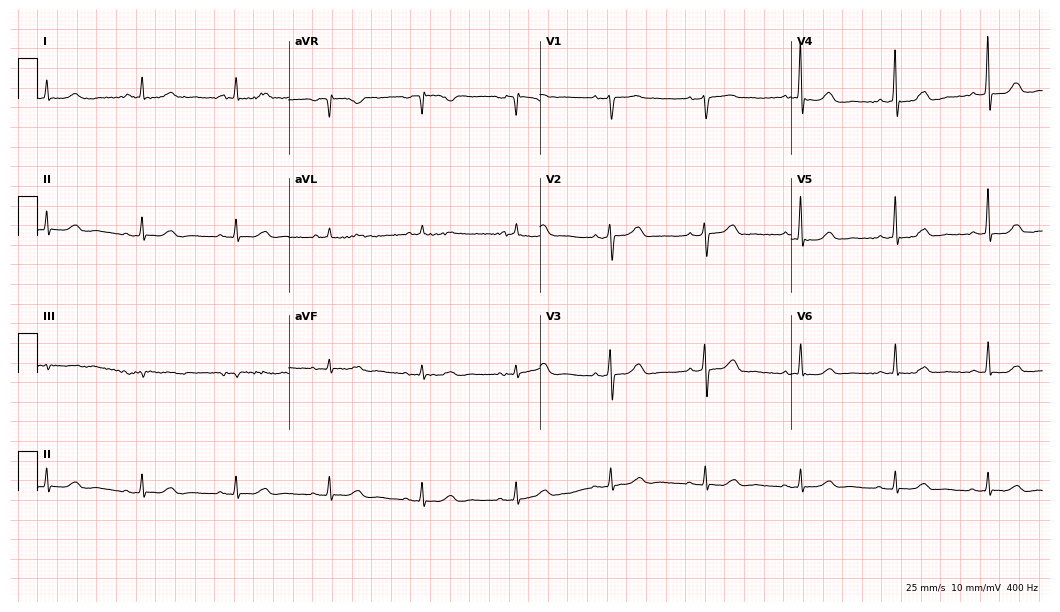
ECG (10.2-second recording at 400 Hz) — a woman, 70 years old. Labelled as a normal ECG.